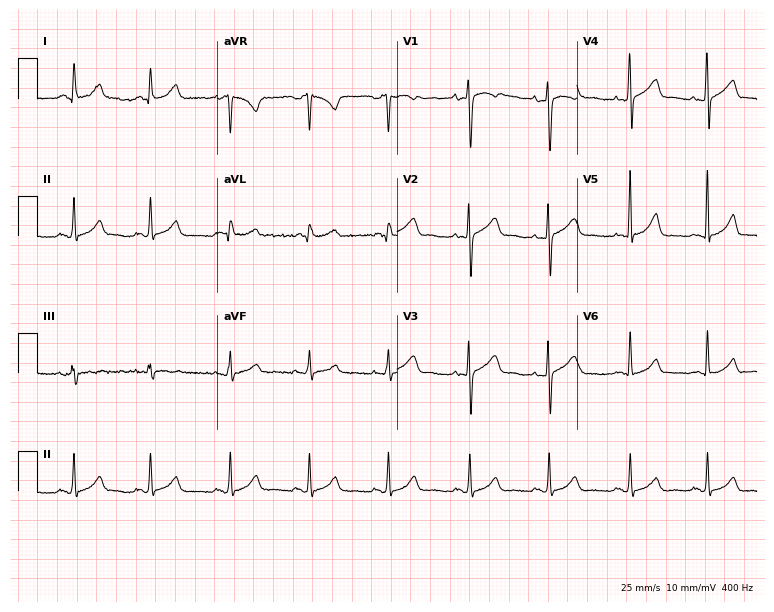
12-lead ECG (7.3-second recording at 400 Hz) from a 30-year-old female patient. Screened for six findings — first-degree AV block, right bundle branch block, left bundle branch block, sinus bradycardia, atrial fibrillation, sinus tachycardia — none is recorded. Only these six findings were labelled.